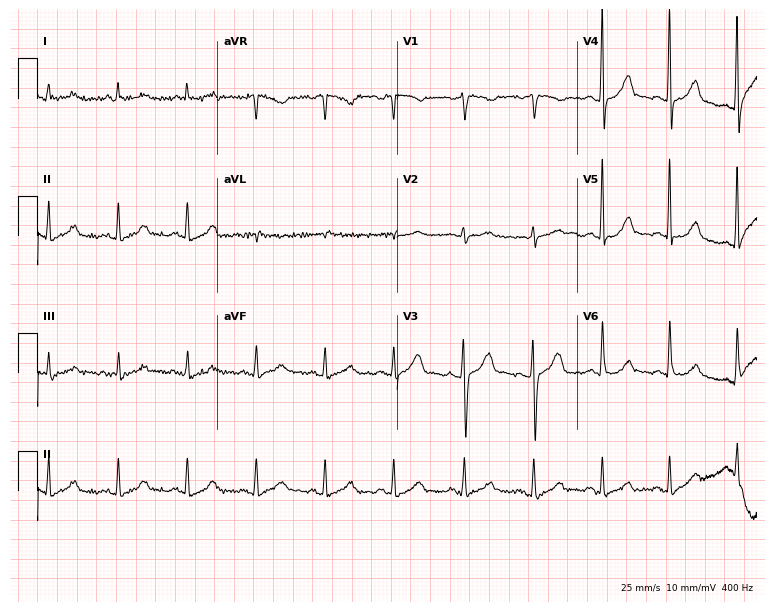
ECG — a man, 54 years old. Labelled as a normal ECG.